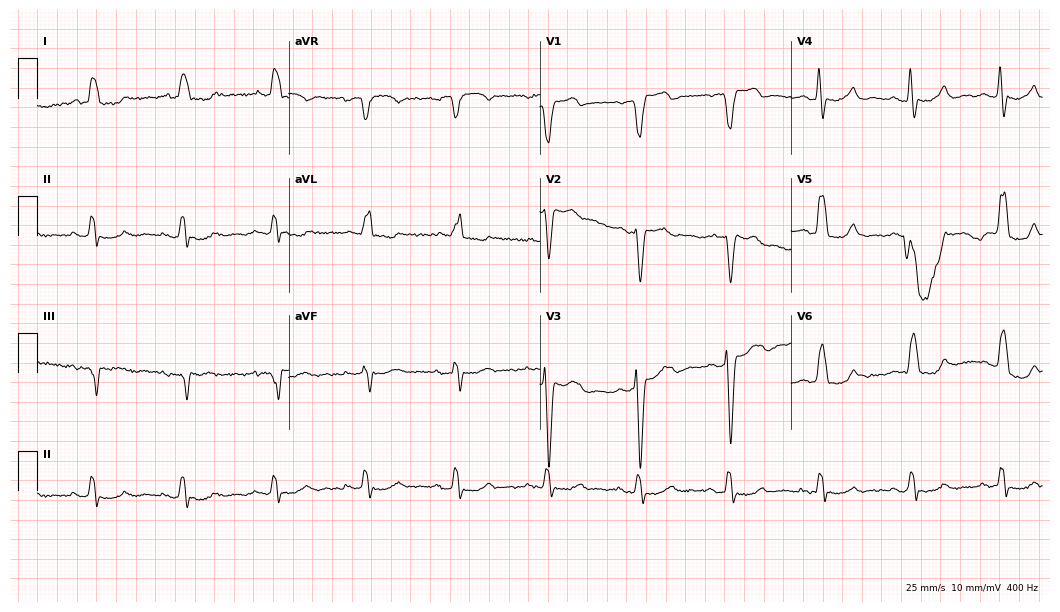
12-lead ECG (10.2-second recording at 400 Hz) from a 68-year-old male patient. Findings include left bundle branch block.